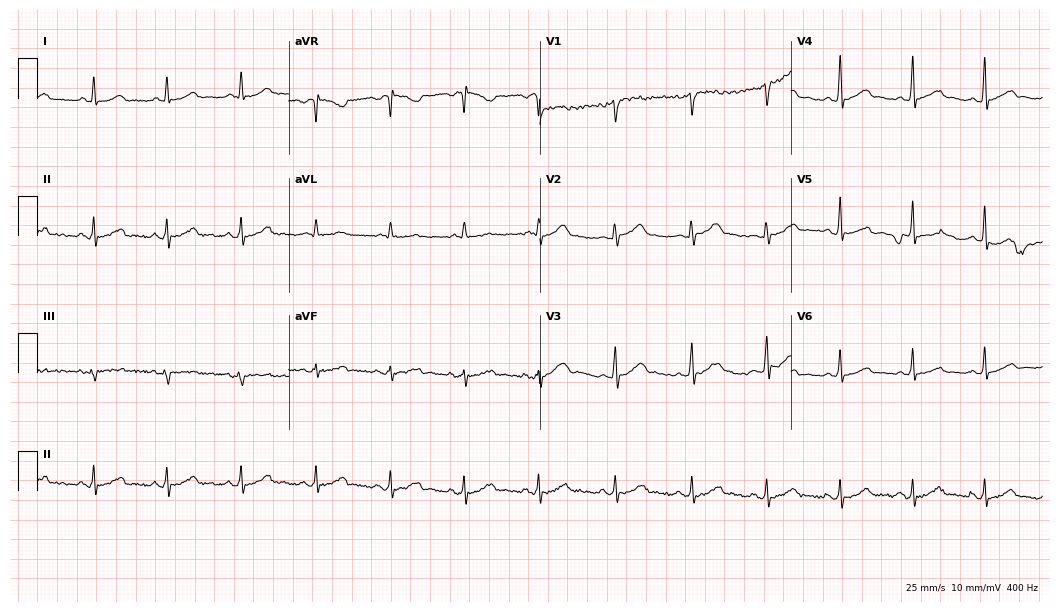
12-lead ECG from a 43-year-old male patient. Labelled as a normal ECG.